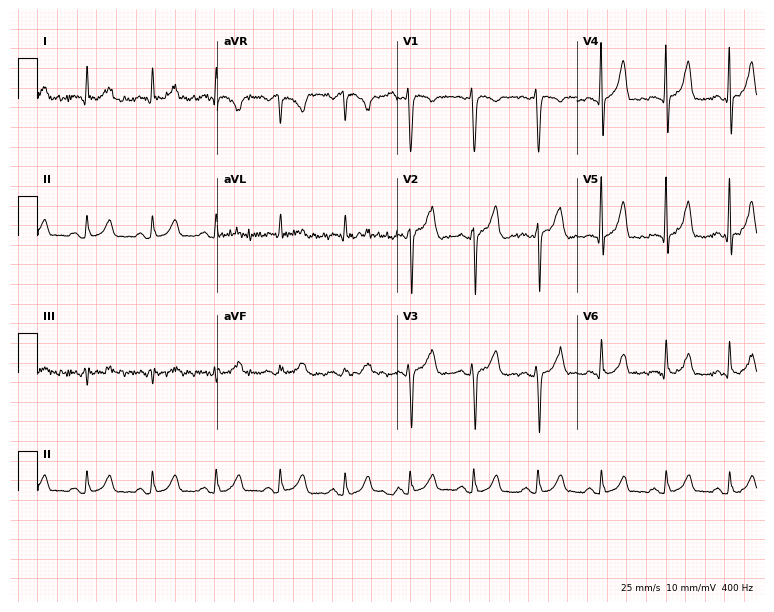
ECG (7.3-second recording at 400 Hz) — a female, 55 years old. Labelled as a normal ECG.